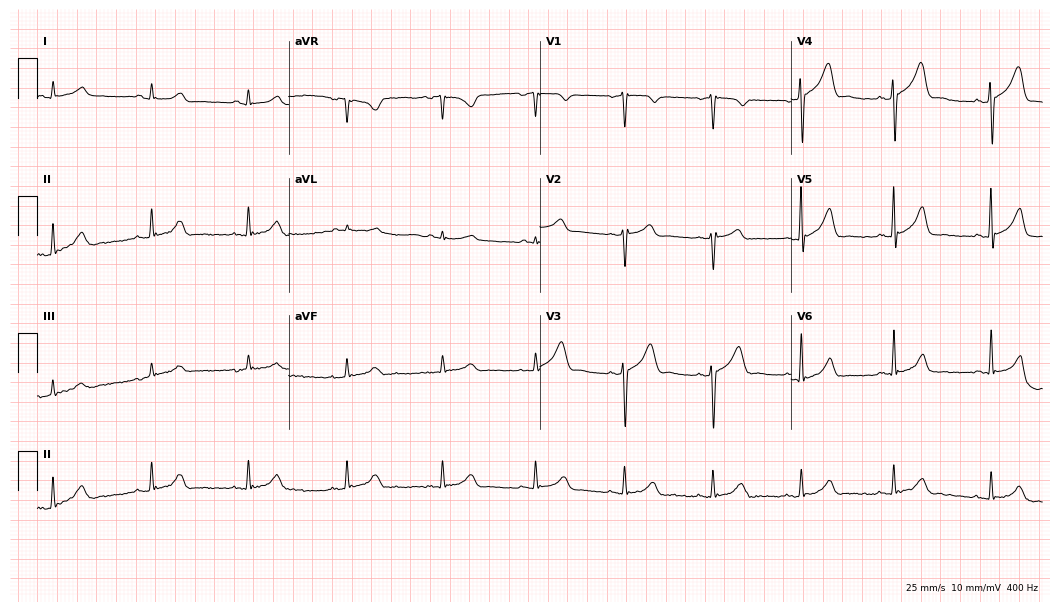
Standard 12-lead ECG recorded from a man, 49 years old (10.2-second recording at 400 Hz). Read as a normal ECG.